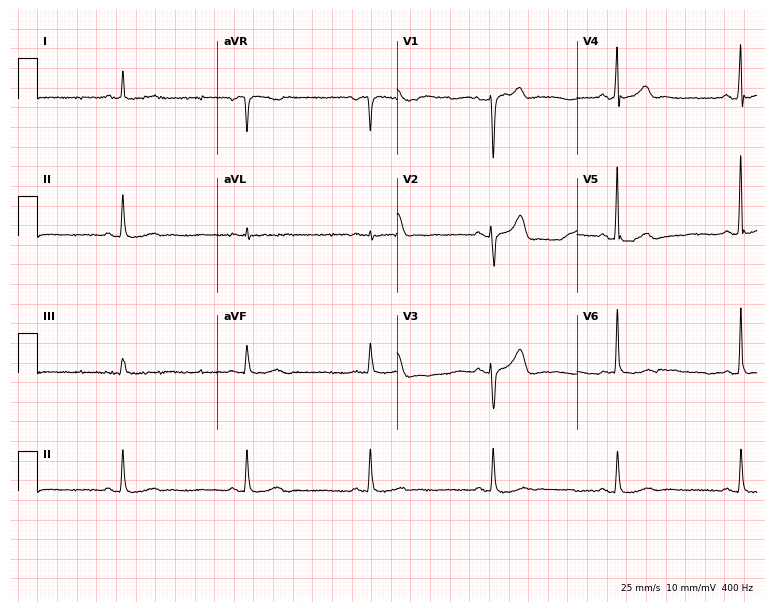
ECG (7.3-second recording at 400 Hz) — a 51-year-old male patient. Screened for six findings — first-degree AV block, right bundle branch block (RBBB), left bundle branch block (LBBB), sinus bradycardia, atrial fibrillation (AF), sinus tachycardia — none is recorded. Only these six findings were labelled.